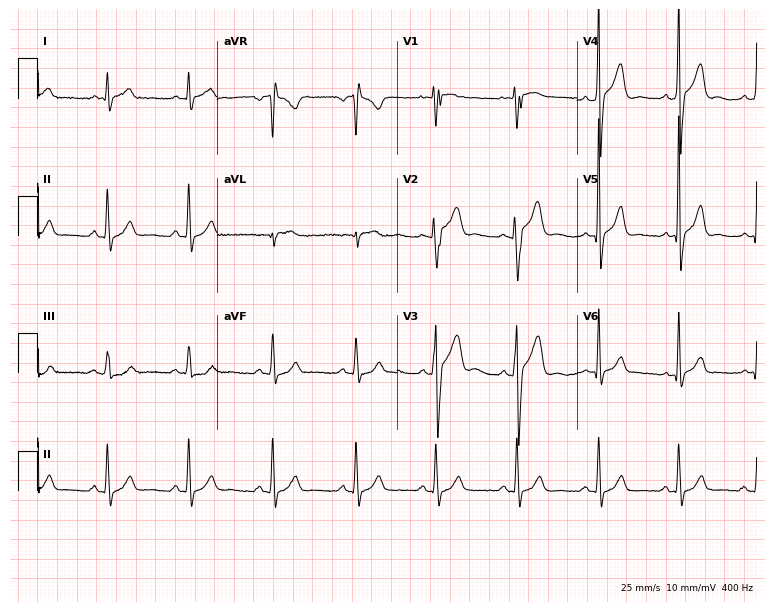
12-lead ECG from a 37-year-old male. No first-degree AV block, right bundle branch block, left bundle branch block, sinus bradycardia, atrial fibrillation or sinus tachycardia recorded for this tracing.